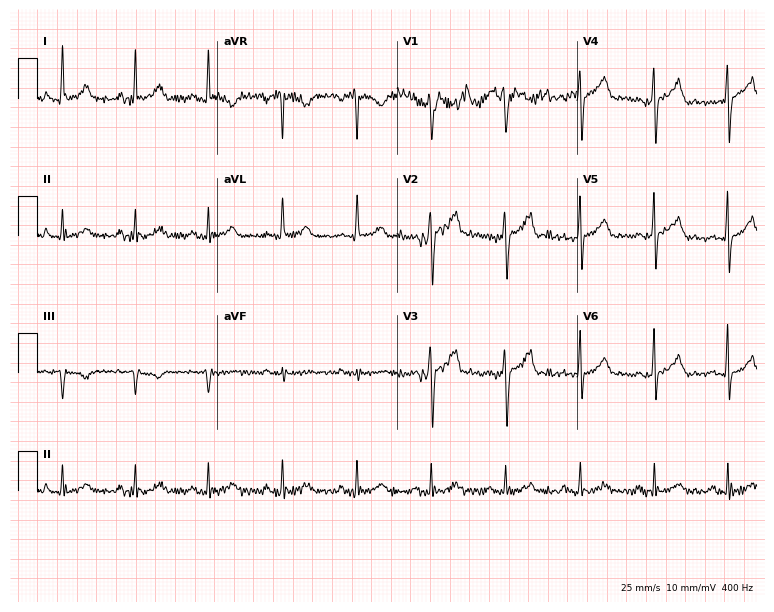
Electrocardiogram (7.3-second recording at 400 Hz), a 39-year-old male patient. Overall reading on record: normal ECG.